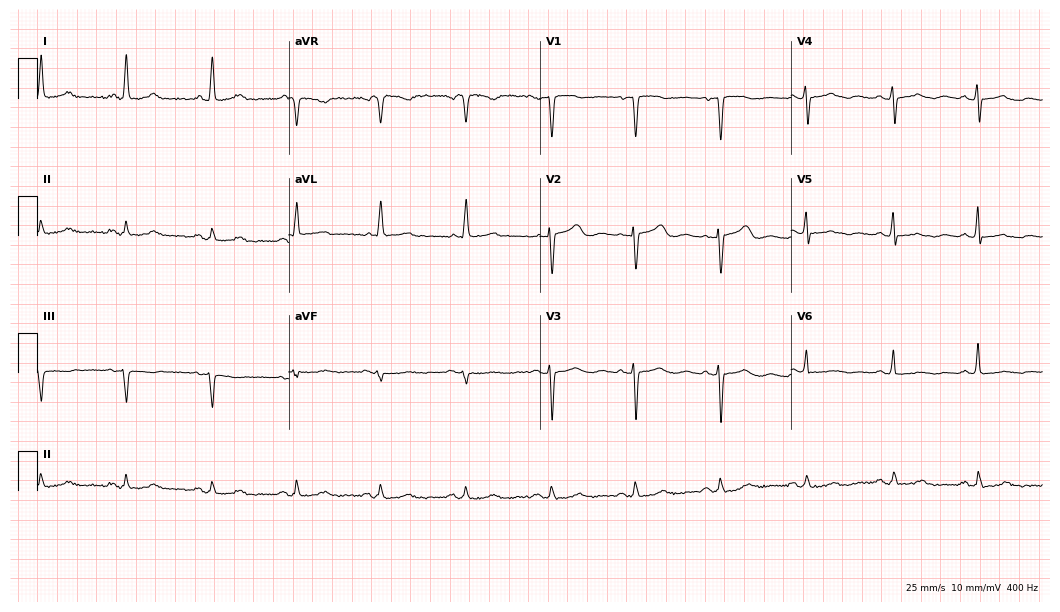
Standard 12-lead ECG recorded from a 62-year-old female patient. Read as a normal ECG.